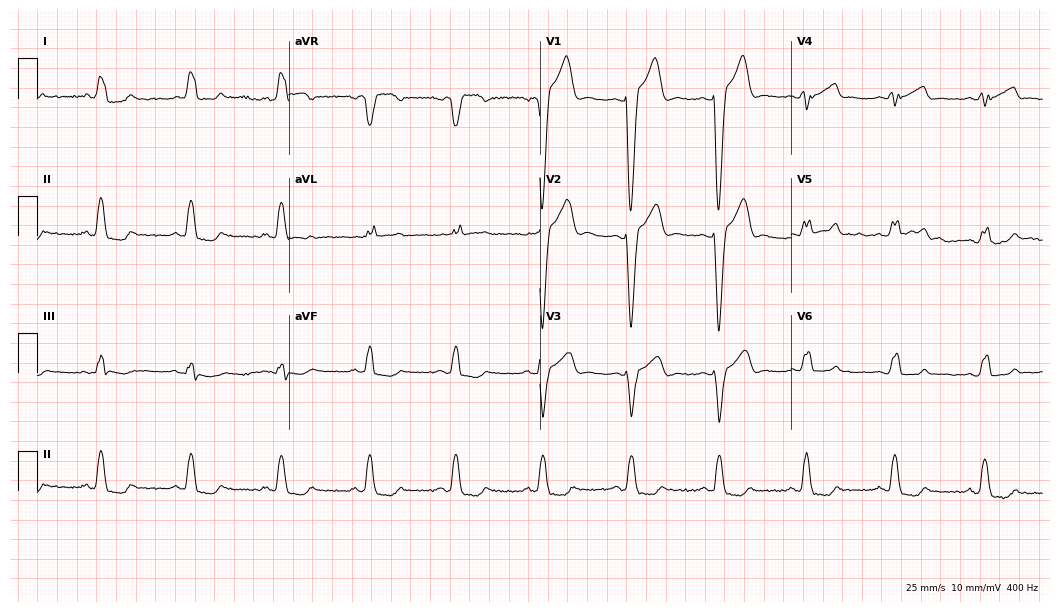
12-lead ECG from a woman, 40 years old. Findings include left bundle branch block.